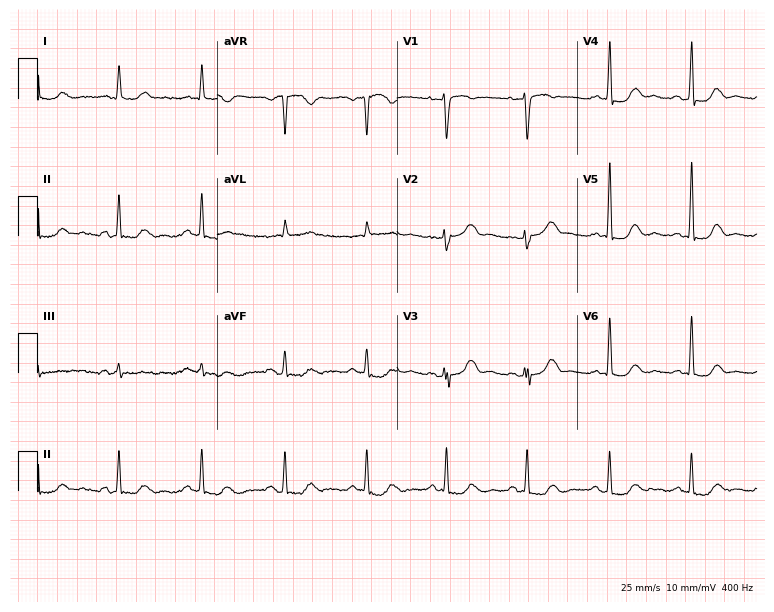
12-lead ECG from a 60-year-old female patient. Screened for six findings — first-degree AV block, right bundle branch block, left bundle branch block, sinus bradycardia, atrial fibrillation, sinus tachycardia — none is recorded. Findings outside these six are not listed.